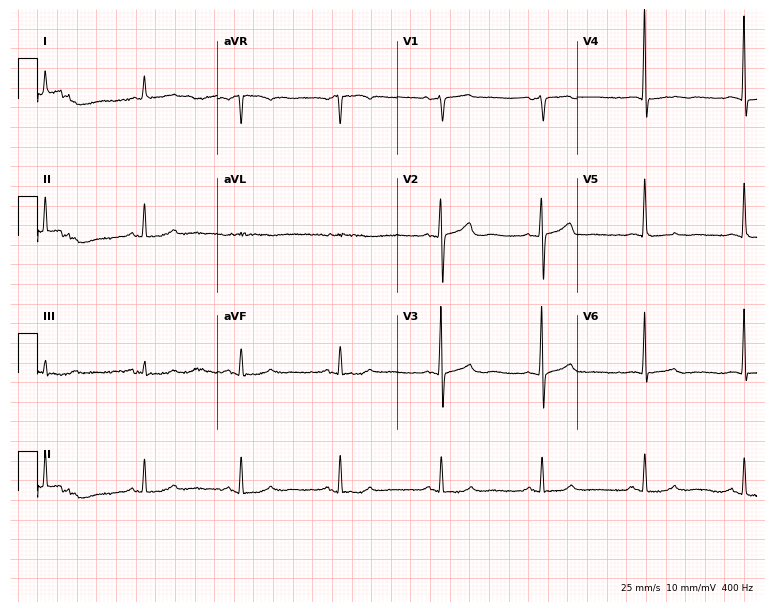
12-lead ECG from an 84-year-old female (7.3-second recording at 400 Hz). No first-degree AV block, right bundle branch block, left bundle branch block, sinus bradycardia, atrial fibrillation or sinus tachycardia recorded for this tracing. Only these six findings were labelled.